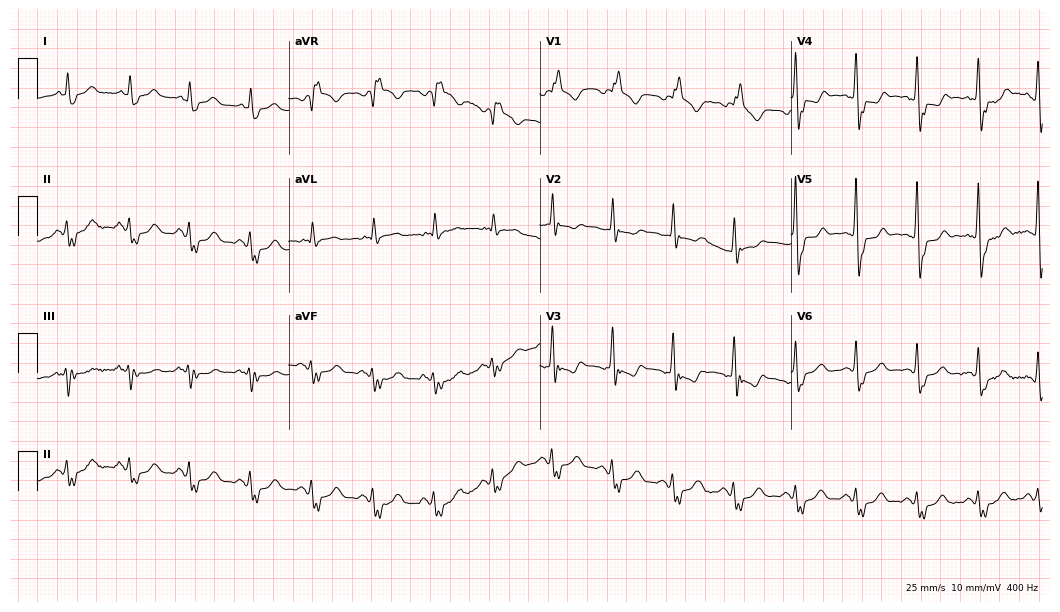
ECG (10.2-second recording at 400 Hz) — a 75-year-old female. Findings include right bundle branch block (RBBB).